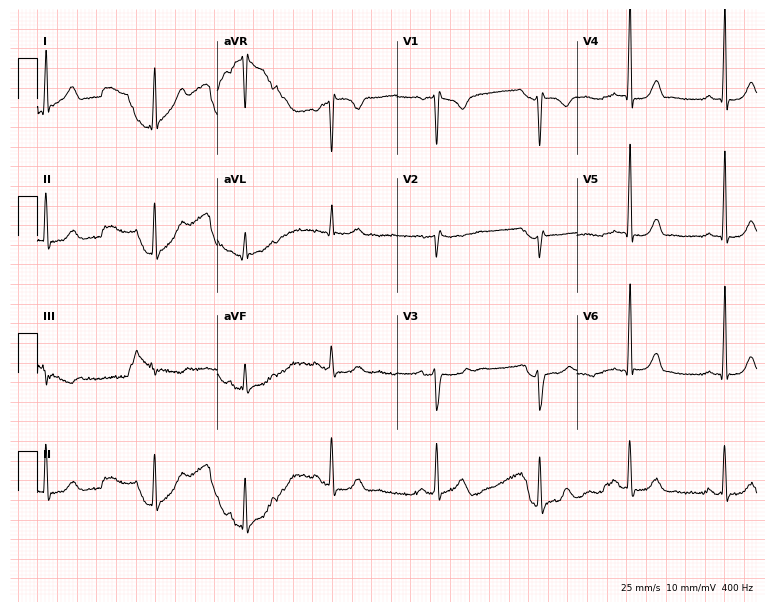
Resting 12-lead electrocardiogram (7.3-second recording at 400 Hz). Patient: a 46-year-old female. None of these six findings is recorded: first-degree AV block, right bundle branch block, left bundle branch block, sinus bradycardia, atrial fibrillation, sinus tachycardia. Findings outside these six are not listed.